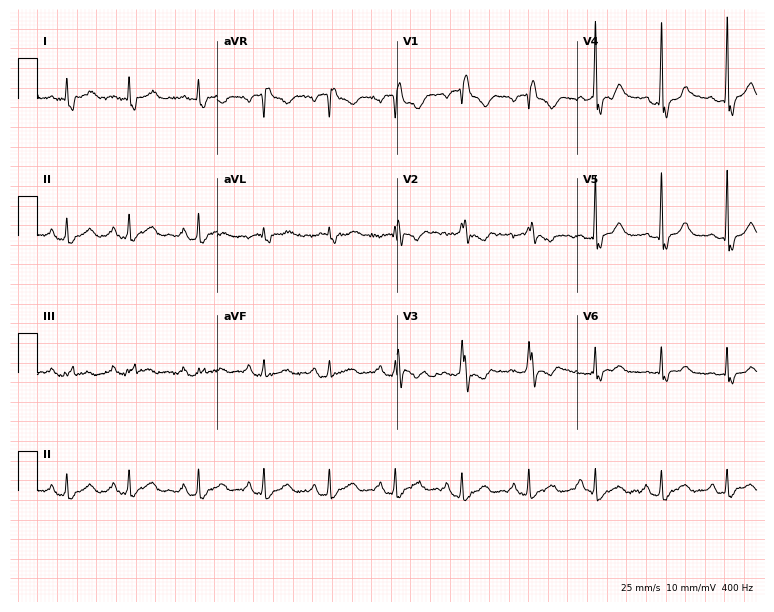
12-lead ECG from a 50-year-old male patient (7.3-second recording at 400 Hz). Shows right bundle branch block (RBBB).